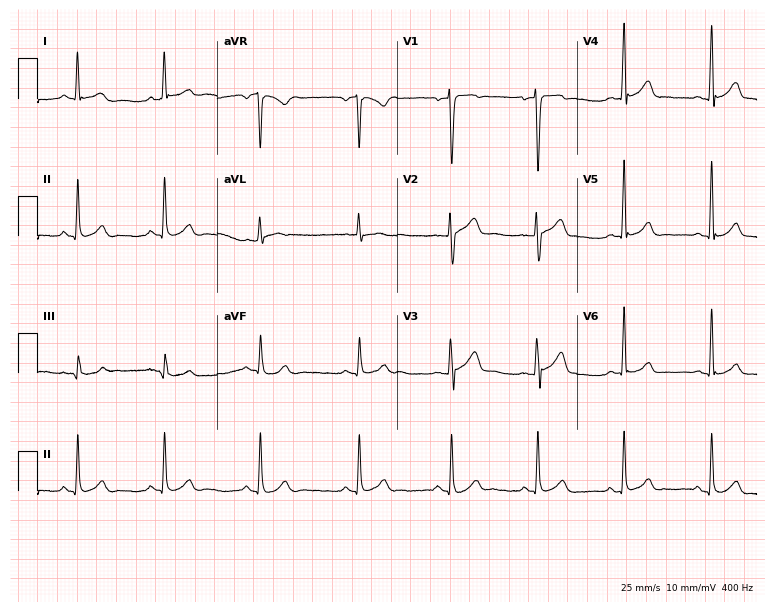
Standard 12-lead ECG recorded from a male patient, 30 years old (7.3-second recording at 400 Hz). None of these six findings is recorded: first-degree AV block, right bundle branch block, left bundle branch block, sinus bradycardia, atrial fibrillation, sinus tachycardia. Only these six findings were labelled.